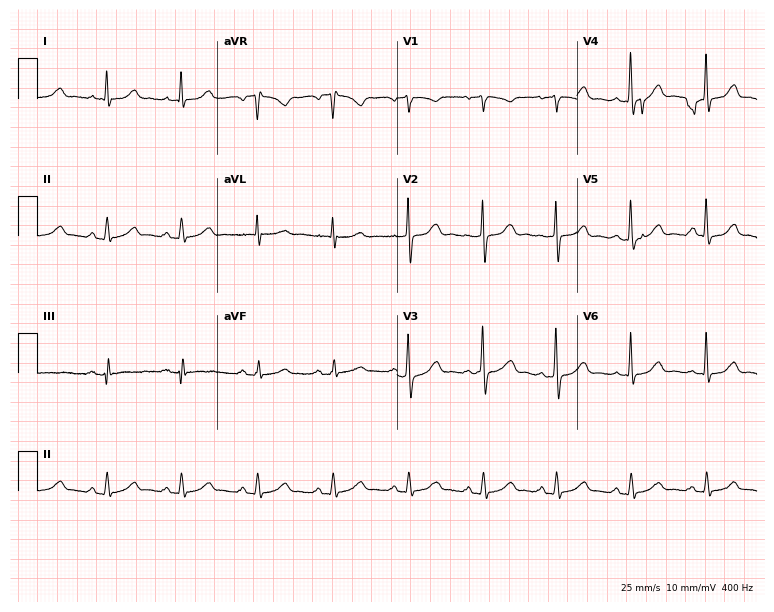
12-lead ECG from a female, 61 years old. Recorded interpretation: within normal limits.